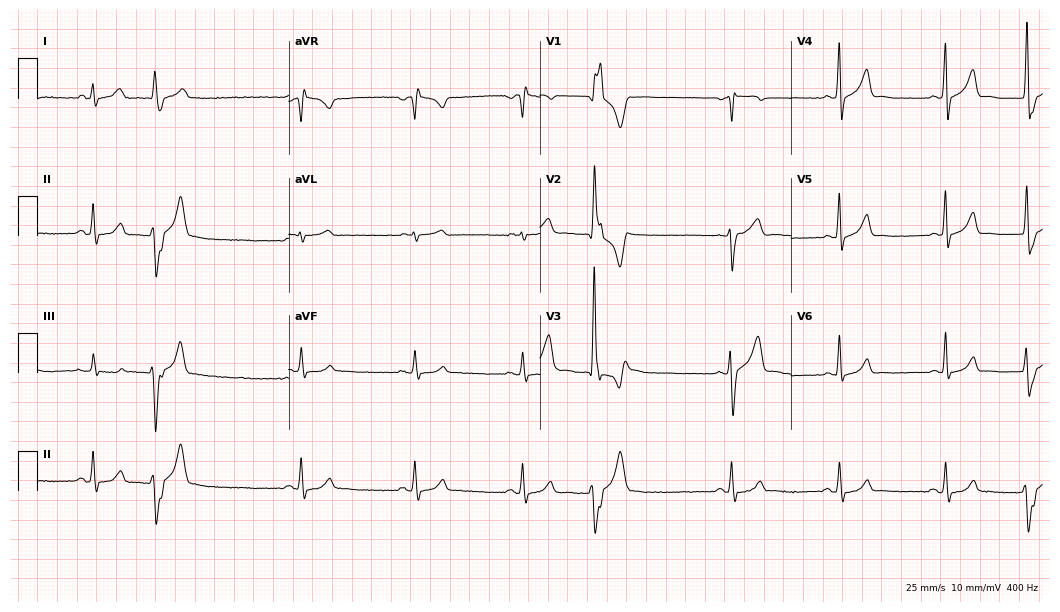
Resting 12-lead electrocardiogram (10.2-second recording at 400 Hz). Patient: a 41-year-old man. None of these six findings is recorded: first-degree AV block, right bundle branch block, left bundle branch block, sinus bradycardia, atrial fibrillation, sinus tachycardia.